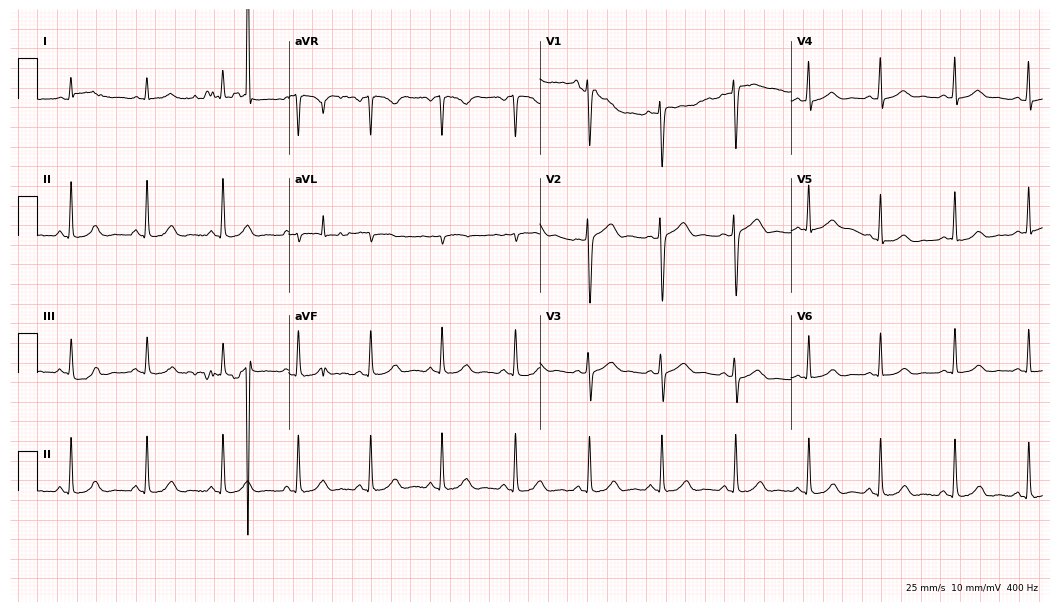
ECG (10.2-second recording at 400 Hz) — a 42-year-old female patient. Screened for six findings — first-degree AV block, right bundle branch block, left bundle branch block, sinus bradycardia, atrial fibrillation, sinus tachycardia — none is recorded.